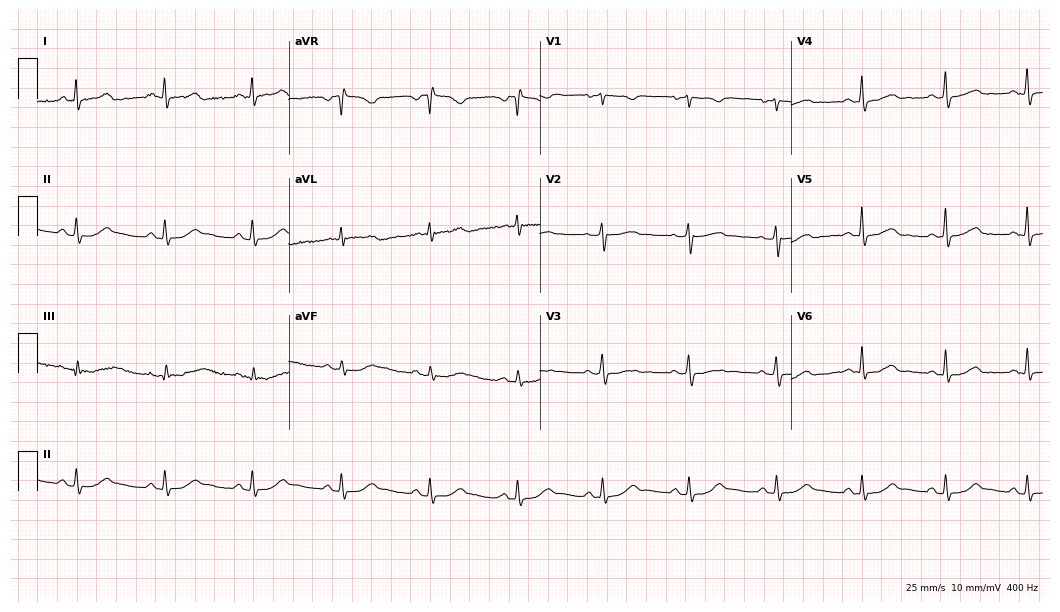
Standard 12-lead ECG recorded from a 49-year-old female. Read as a normal ECG.